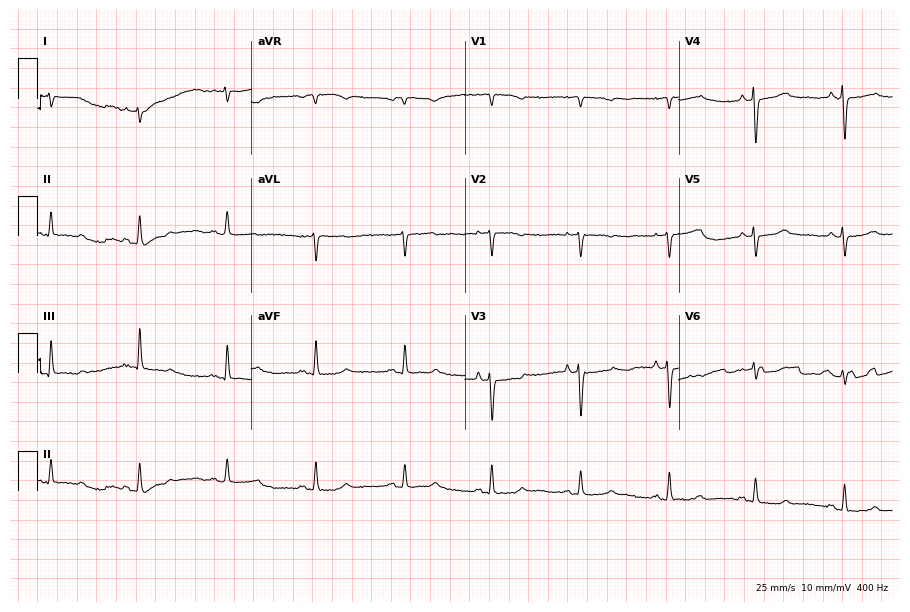
Resting 12-lead electrocardiogram (8.7-second recording at 400 Hz). Patient: a female, 76 years old. None of these six findings is recorded: first-degree AV block, right bundle branch block, left bundle branch block, sinus bradycardia, atrial fibrillation, sinus tachycardia. Only these six findings were labelled.